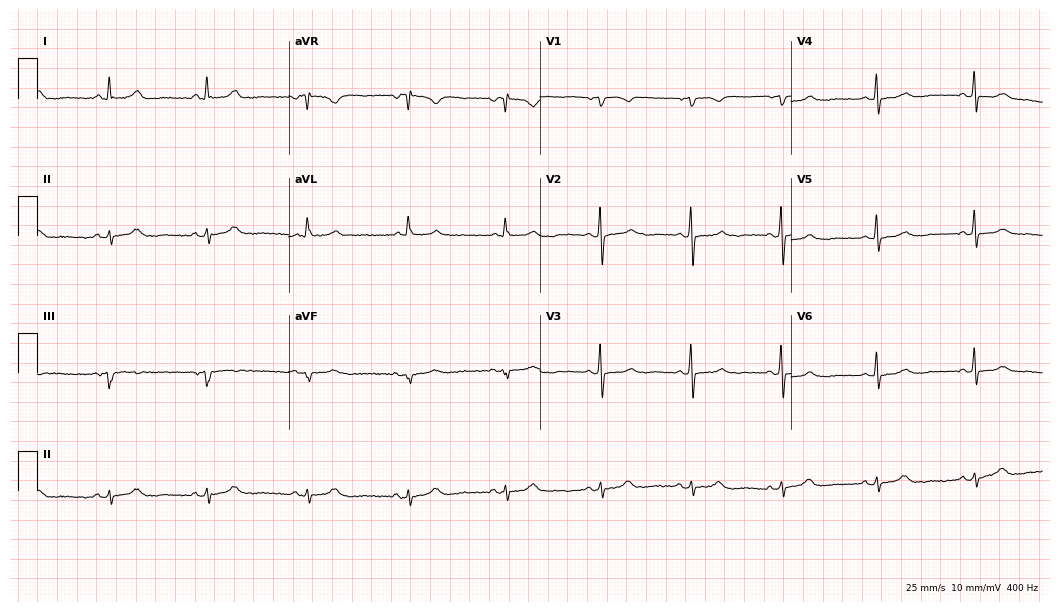
Resting 12-lead electrocardiogram. Patient: a 70-year-old woman. None of these six findings is recorded: first-degree AV block, right bundle branch block, left bundle branch block, sinus bradycardia, atrial fibrillation, sinus tachycardia.